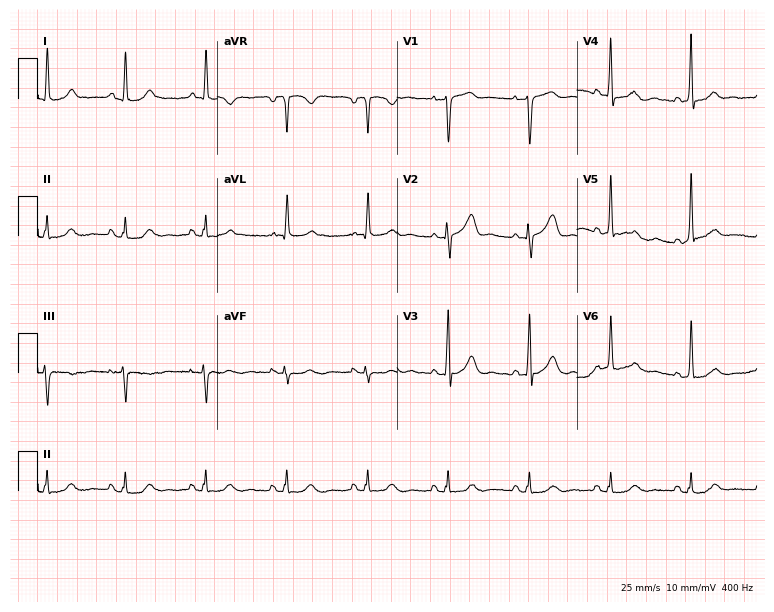
ECG (7.3-second recording at 400 Hz) — a male, 67 years old. Labelled as a normal ECG.